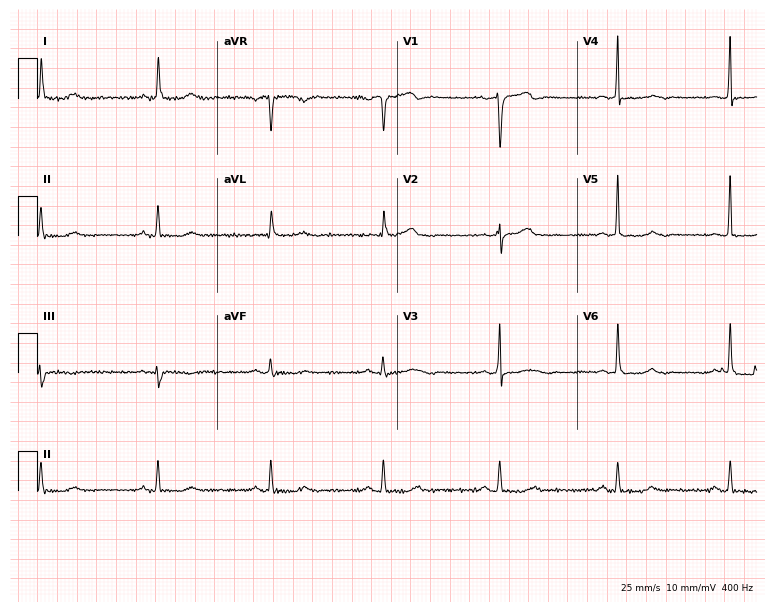
Resting 12-lead electrocardiogram (7.3-second recording at 400 Hz). Patient: a 61-year-old female. Read as a normal ECG.